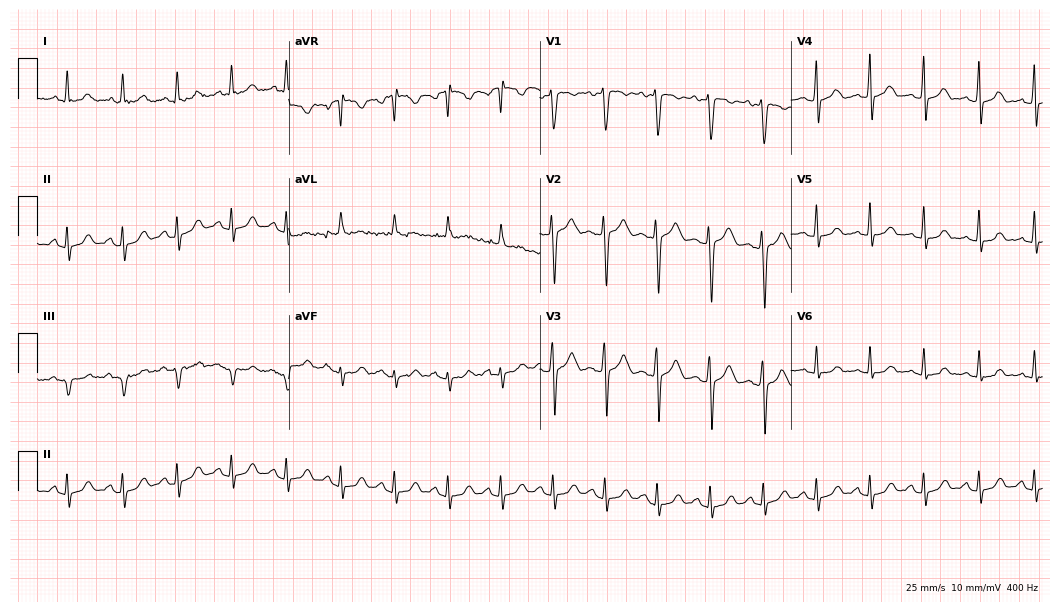
12-lead ECG from a 22-year-old woman (10.2-second recording at 400 Hz). Shows sinus tachycardia (a sinus rate of 100 beats per minute or more).